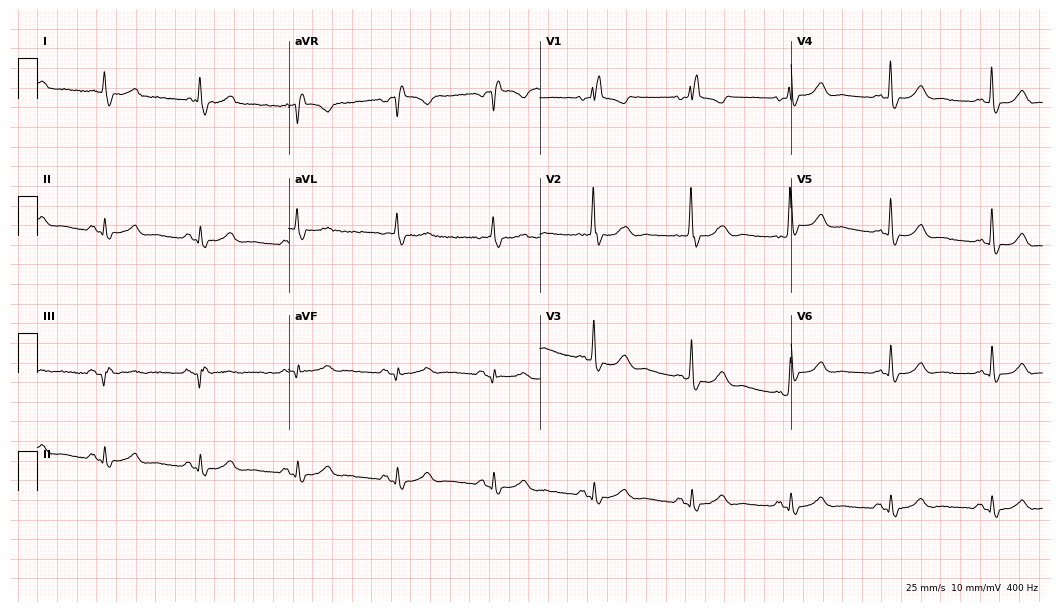
Electrocardiogram (10.2-second recording at 400 Hz), a 59-year-old female. Of the six screened findings (first-degree AV block, right bundle branch block, left bundle branch block, sinus bradycardia, atrial fibrillation, sinus tachycardia), none is recorded.